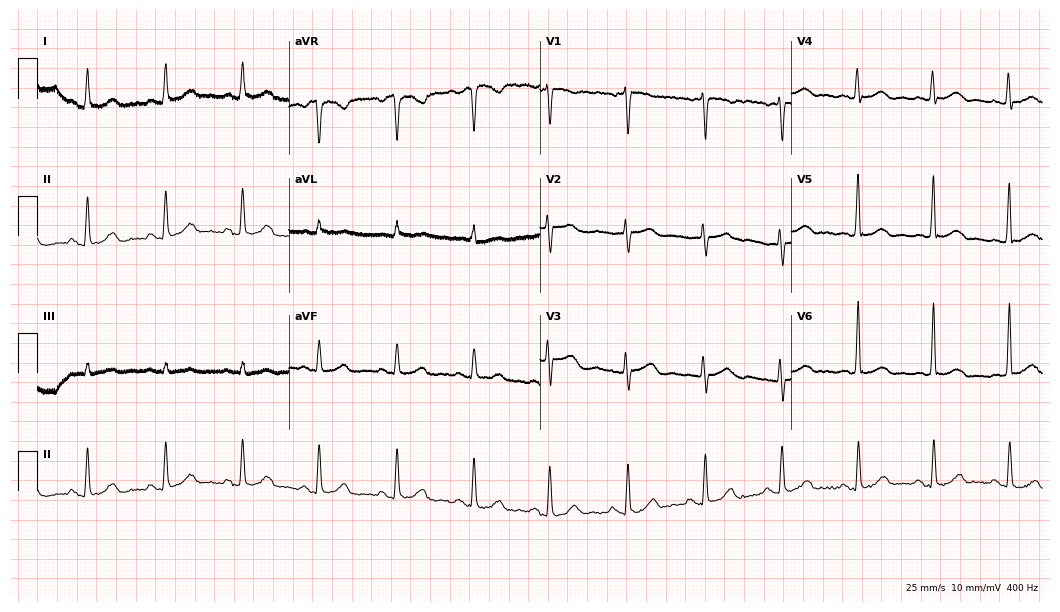
Standard 12-lead ECG recorded from a 77-year-old female (10.2-second recording at 400 Hz). None of these six findings is recorded: first-degree AV block, right bundle branch block, left bundle branch block, sinus bradycardia, atrial fibrillation, sinus tachycardia.